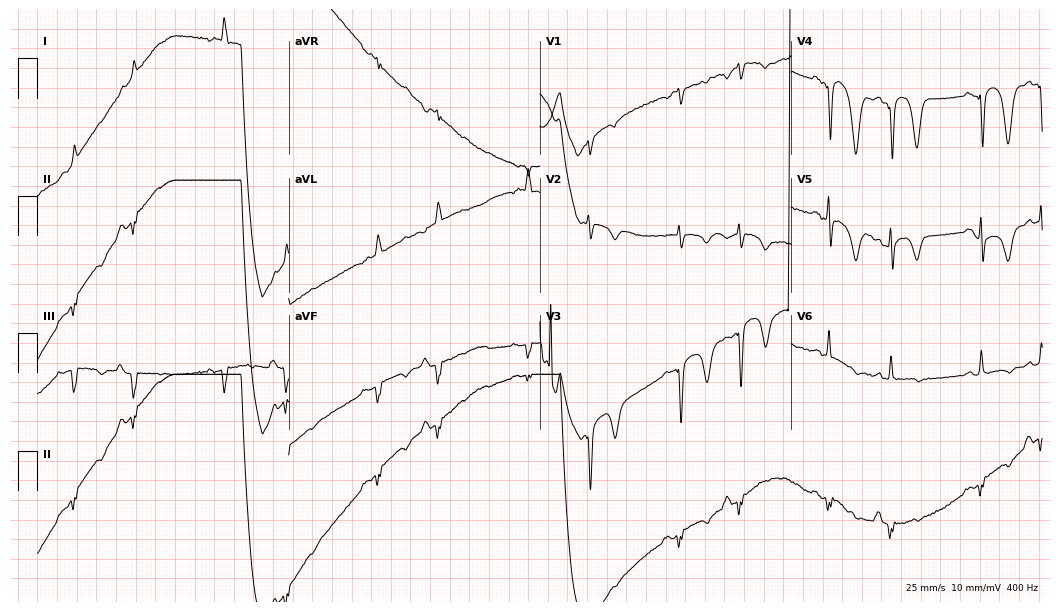
Electrocardiogram (10.2-second recording at 400 Hz), a man, 60 years old. Of the six screened findings (first-degree AV block, right bundle branch block (RBBB), left bundle branch block (LBBB), sinus bradycardia, atrial fibrillation (AF), sinus tachycardia), none is recorded.